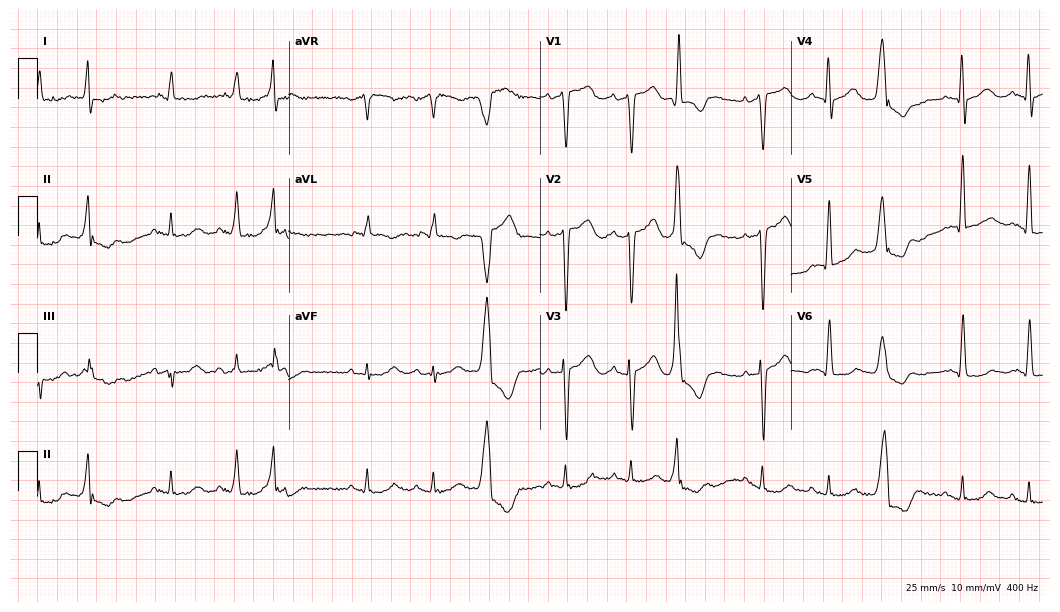
Standard 12-lead ECG recorded from a male patient, 74 years old. None of these six findings is recorded: first-degree AV block, right bundle branch block, left bundle branch block, sinus bradycardia, atrial fibrillation, sinus tachycardia. Other findings, if any, are not listed.